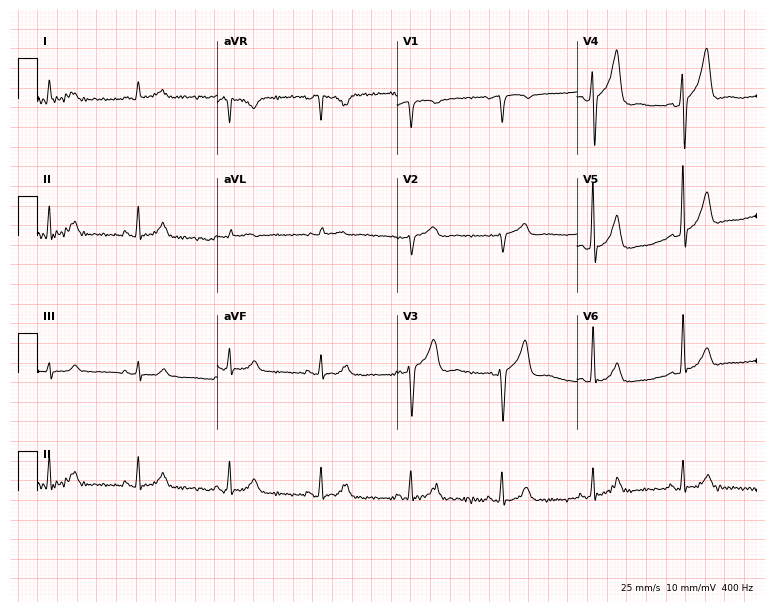
Resting 12-lead electrocardiogram. Patient: a male, 75 years old. None of these six findings is recorded: first-degree AV block, right bundle branch block, left bundle branch block, sinus bradycardia, atrial fibrillation, sinus tachycardia.